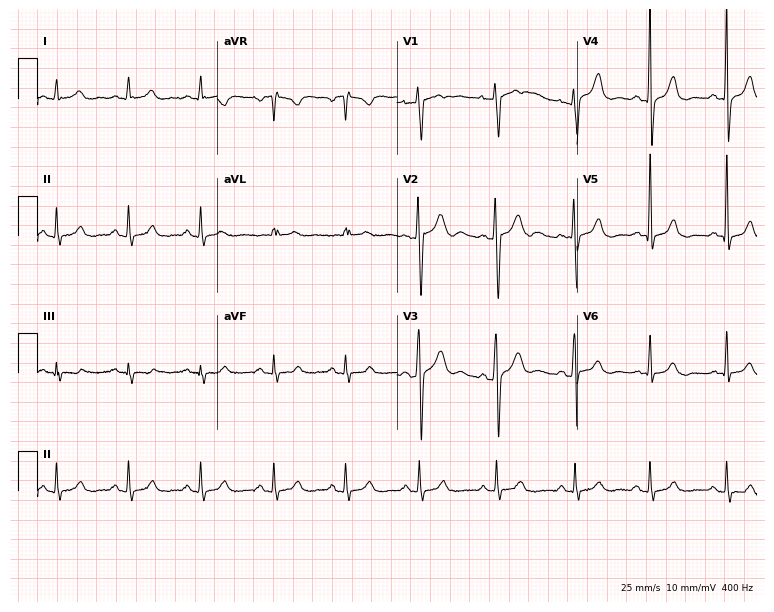
Electrocardiogram, a male patient, 23 years old. Overall reading on record: normal ECG.